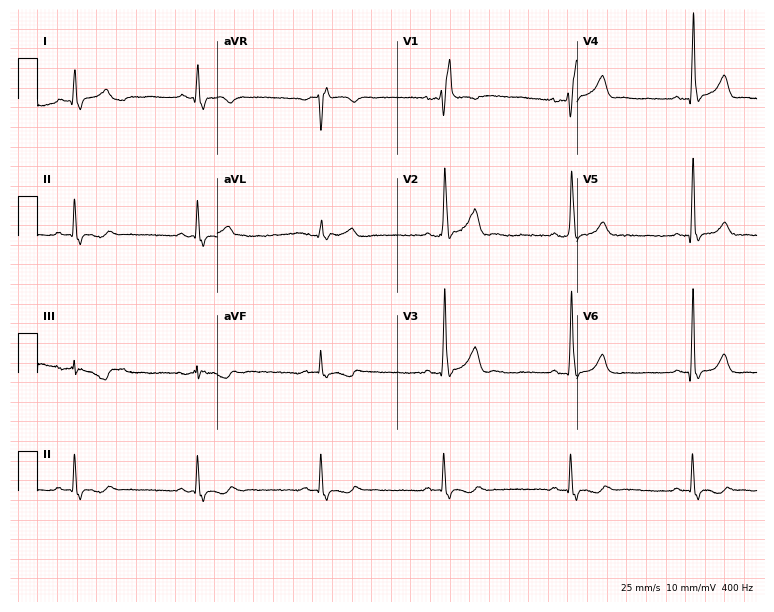
Resting 12-lead electrocardiogram. Patient: a 55-year-old man. The tracing shows right bundle branch block, sinus bradycardia (a sinus rate of 50 beats per minute or less).